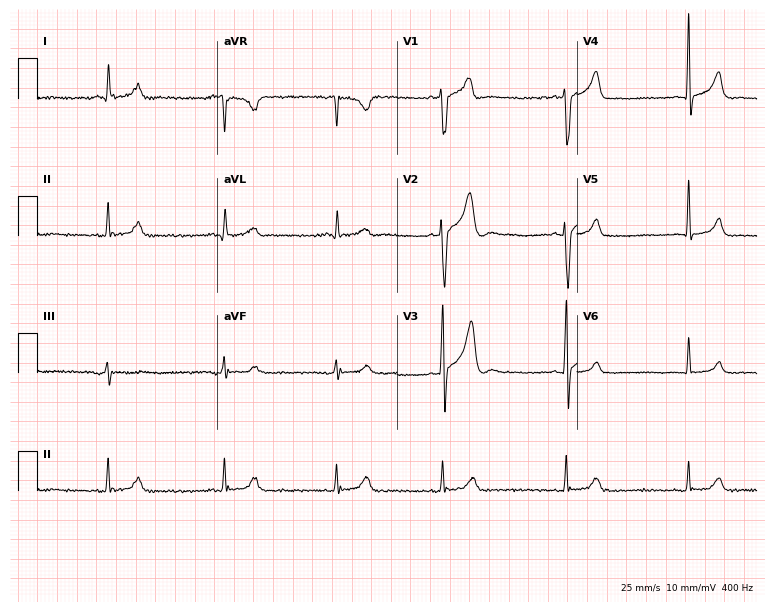
12-lead ECG from a male, 36 years old (7.3-second recording at 400 Hz). No first-degree AV block, right bundle branch block (RBBB), left bundle branch block (LBBB), sinus bradycardia, atrial fibrillation (AF) or sinus tachycardia recorded for this tracing.